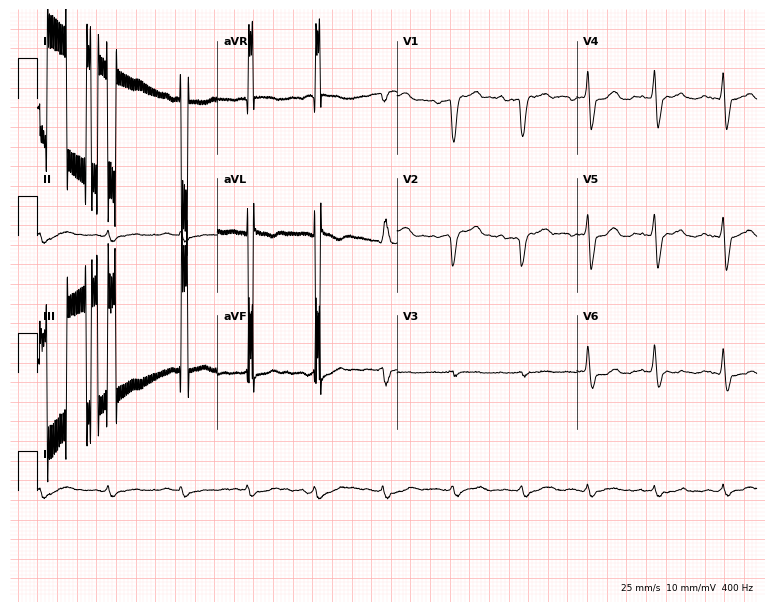
Standard 12-lead ECG recorded from a 68-year-old woman (7.3-second recording at 400 Hz). None of these six findings is recorded: first-degree AV block, right bundle branch block, left bundle branch block, sinus bradycardia, atrial fibrillation, sinus tachycardia. Only these six findings were labelled.